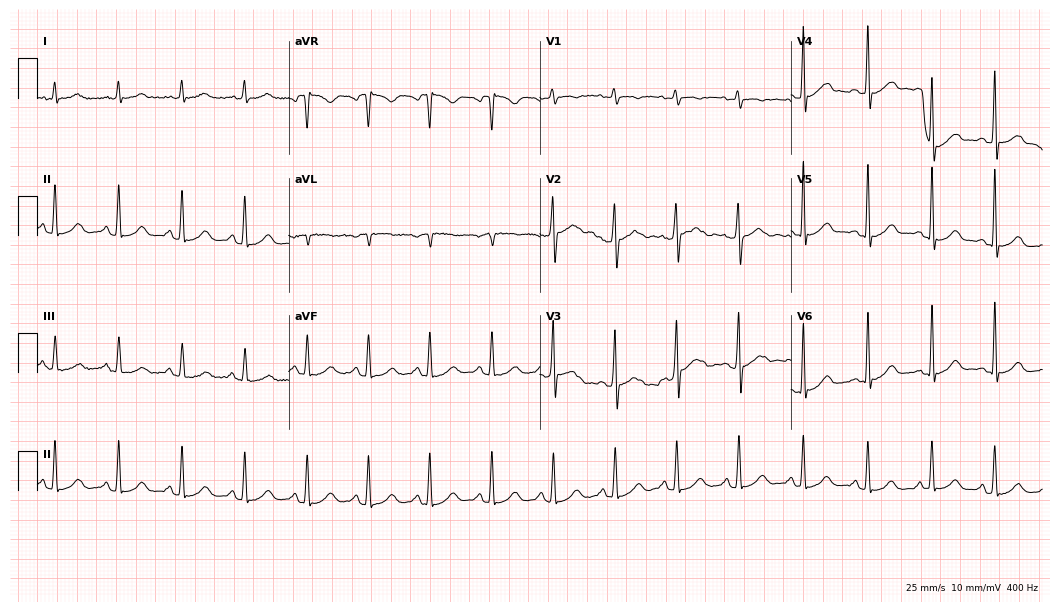
12-lead ECG from a man, 49 years old. Labelled as a normal ECG.